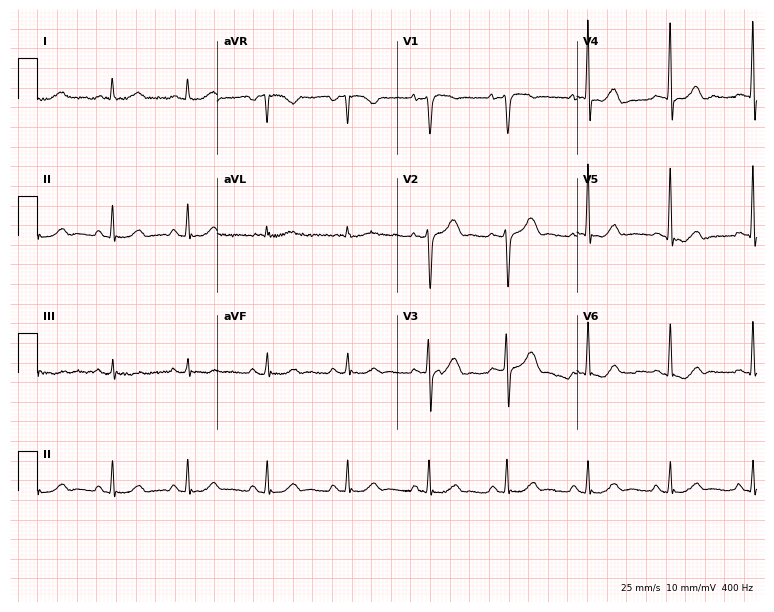
12-lead ECG (7.3-second recording at 400 Hz) from a woman, 57 years old. Screened for six findings — first-degree AV block, right bundle branch block, left bundle branch block, sinus bradycardia, atrial fibrillation, sinus tachycardia — none is recorded.